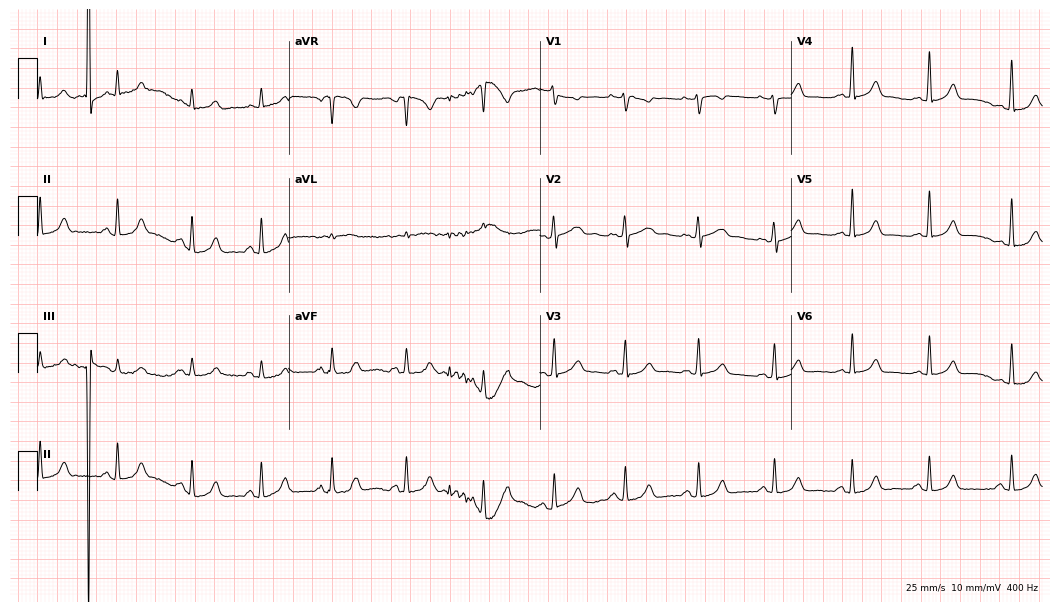
12-lead ECG from a 45-year-old female patient (10.2-second recording at 400 Hz). No first-degree AV block, right bundle branch block, left bundle branch block, sinus bradycardia, atrial fibrillation or sinus tachycardia recorded for this tracing.